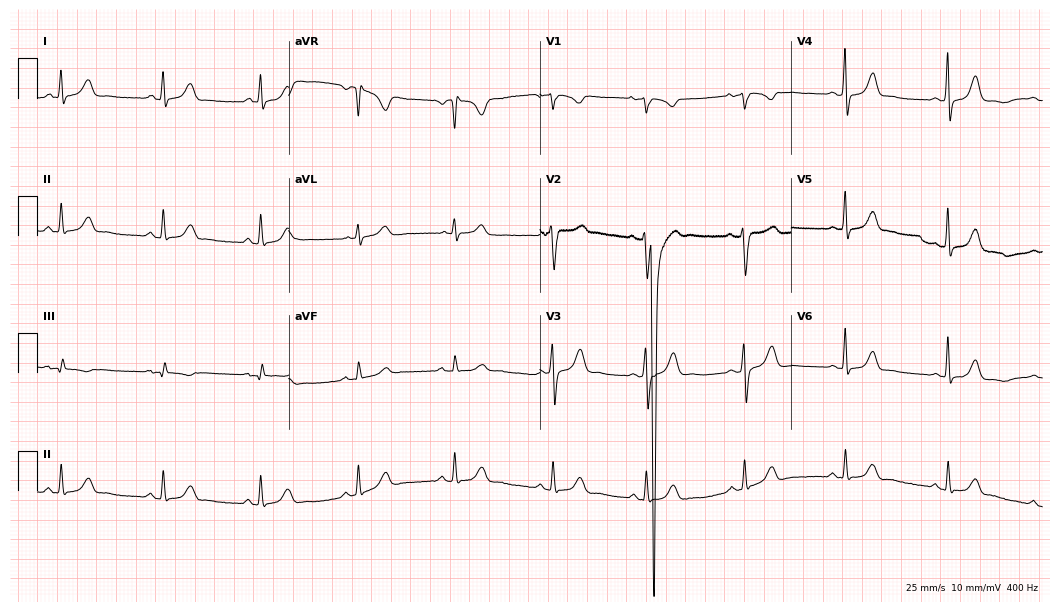
Electrocardiogram, a 42-year-old female patient. Overall reading on record: normal ECG.